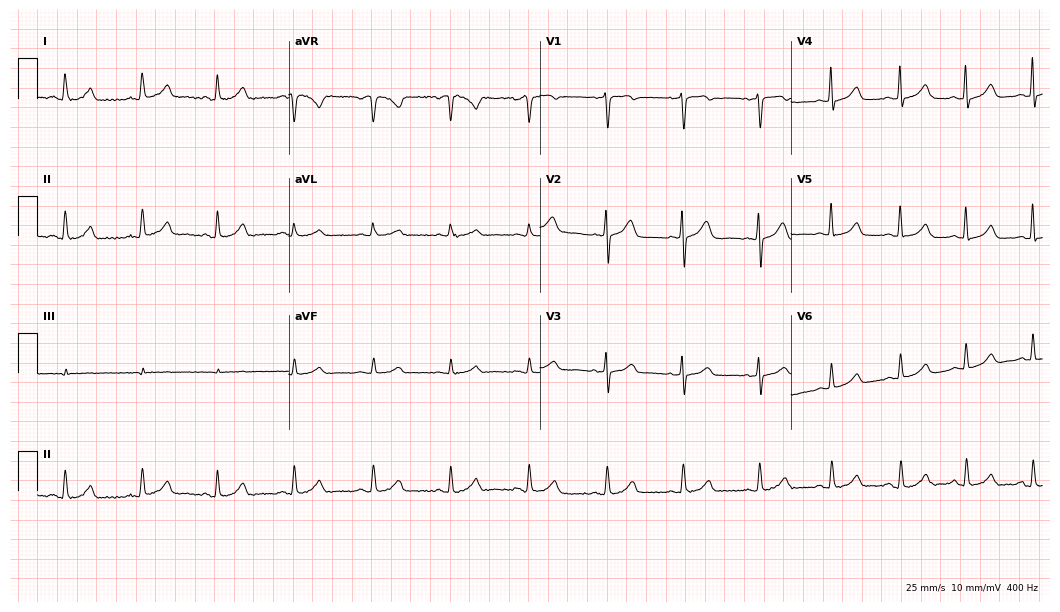
12-lead ECG from a 57-year-old woman. Recorded interpretation: within normal limits.